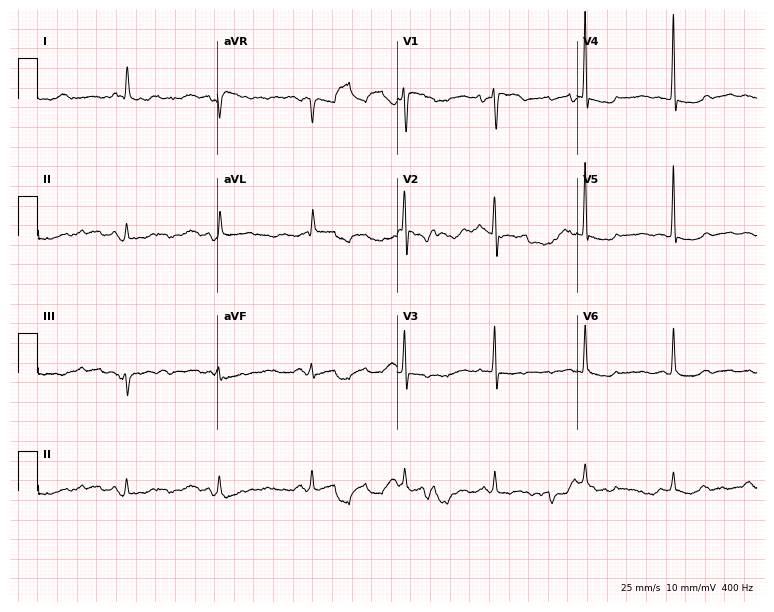
Electrocardiogram, an 82-year-old female patient. Of the six screened findings (first-degree AV block, right bundle branch block, left bundle branch block, sinus bradycardia, atrial fibrillation, sinus tachycardia), none is recorded. Only these six findings were labelled.